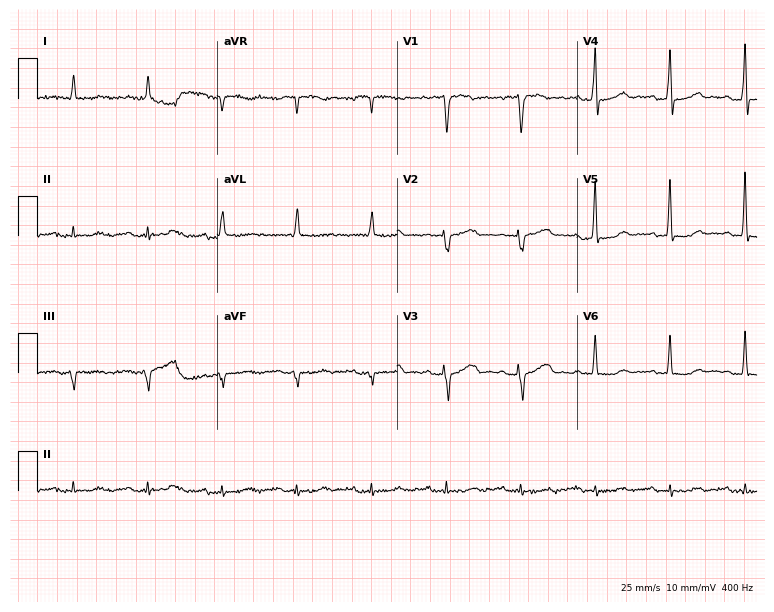
Electrocardiogram, a 79-year-old male patient. Of the six screened findings (first-degree AV block, right bundle branch block (RBBB), left bundle branch block (LBBB), sinus bradycardia, atrial fibrillation (AF), sinus tachycardia), none is recorded. Other findings, if any, are not listed.